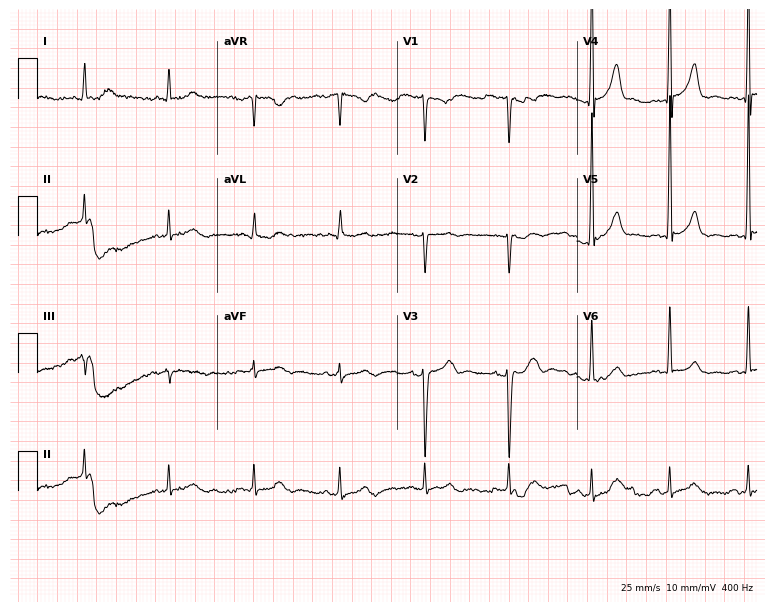
Standard 12-lead ECG recorded from a male, 42 years old. None of these six findings is recorded: first-degree AV block, right bundle branch block (RBBB), left bundle branch block (LBBB), sinus bradycardia, atrial fibrillation (AF), sinus tachycardia. Only these six findings were labelled.